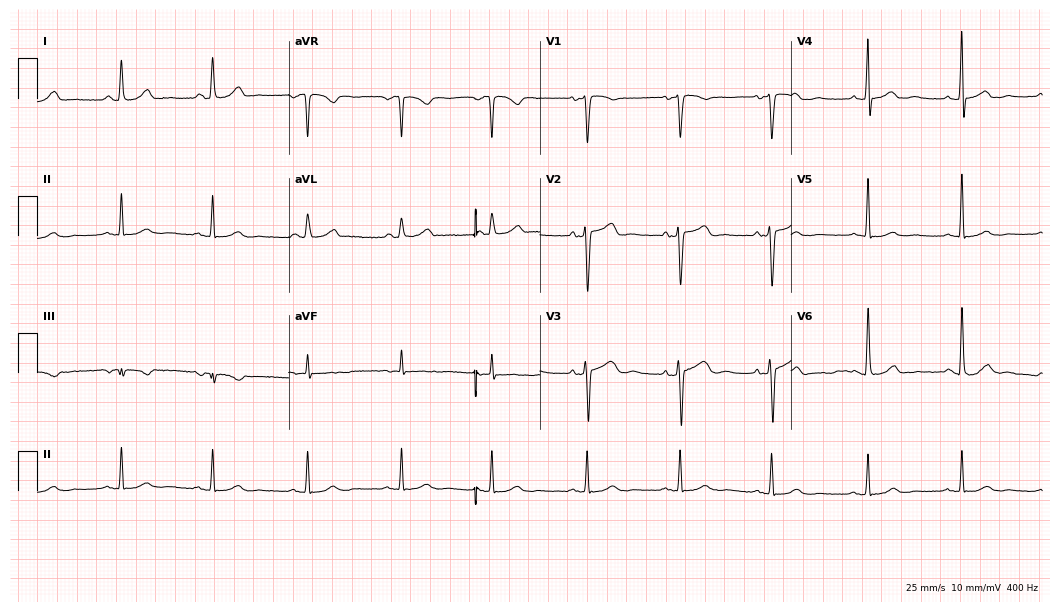
Electrocardiogram (10.2-second recording at 400 Hz), a 49-year-old female patient. Of the six screened findings (first-degree AV block, right bundle branch block (RBBB), left bundle branch block (LBBB), sinus bradycardia, atrial fibrillation (AF), sinus tachycardia), none is recorded.